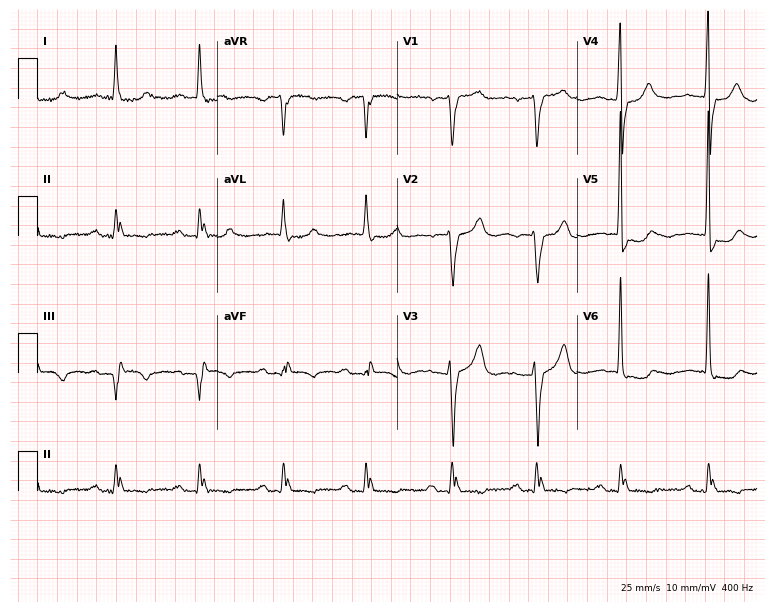
12-lead ECG from an 81-year-old male patient (7.3-second recording at 400 Hz). Shows first-degree AV block.